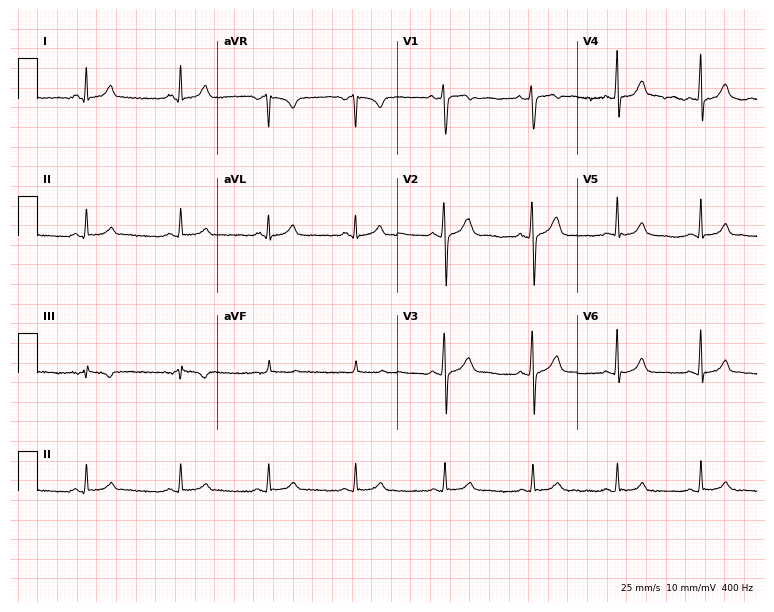
Electrocardiogram (7.3-second recording at 400 Hz), a female patient, 24 years old. Overall reading on record: normal ECG.